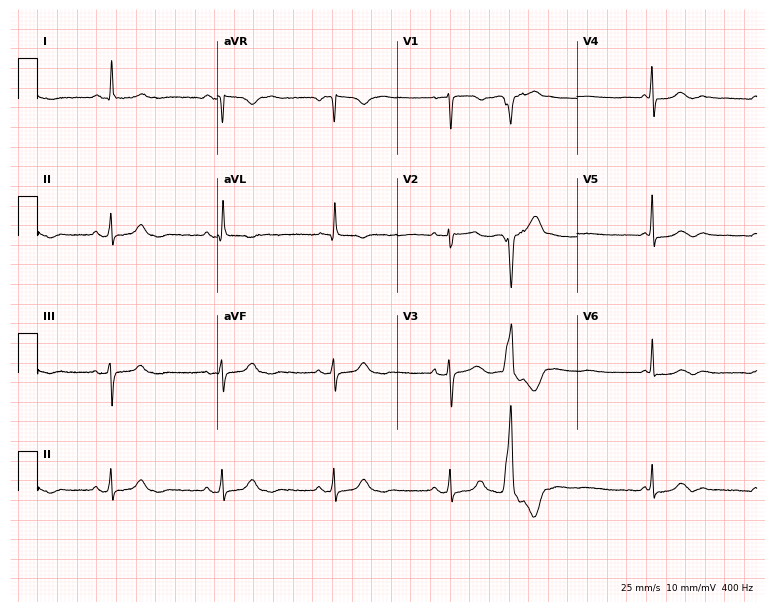
Resting 12-lead electrocardiogram (7.3-second recording at 400 Hz). Patient: a female, 71 years old. Read as a normal ECG.